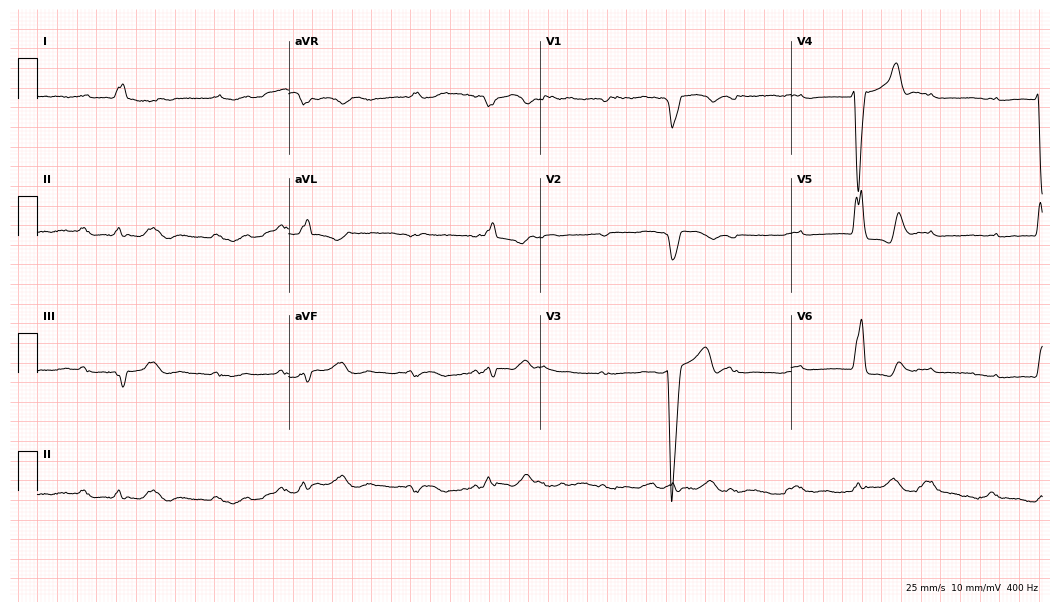
Resting 12-lead electrocardiogram (10.2-second recording at 400 Hz). Patient: an 80-year-old male. The tracing shows first-degree AV block.